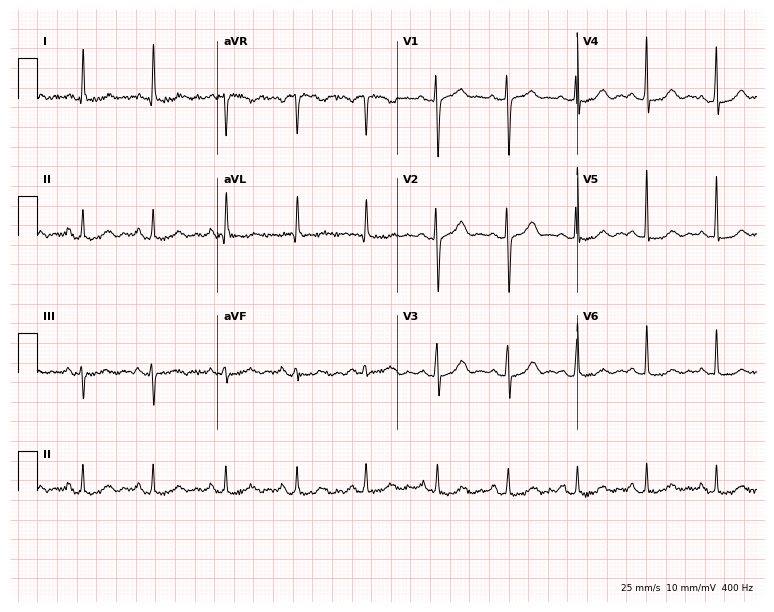
12-lead ECG from a female patient, 58 years old. Recorded interpretation: within normal limits.